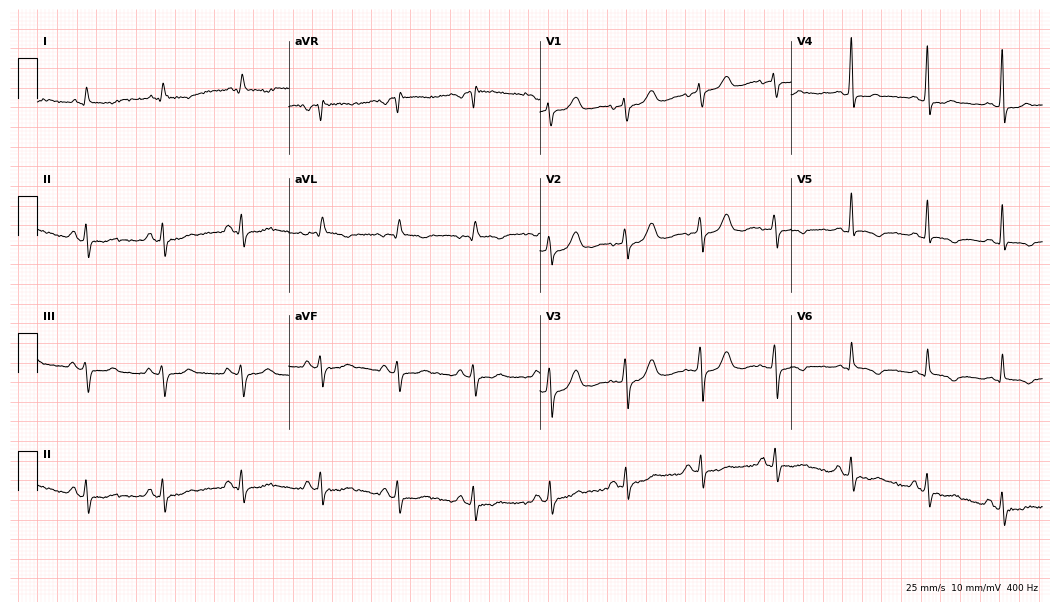
12-lead ECG from a woman, 58 years old. No first-degree AV block, right bundle branch block, left bundle branch block, sinus bradycardia, atrial fibrillation or sinus tachycardia recorded for this tracing. Other findings, if any, are not listed.